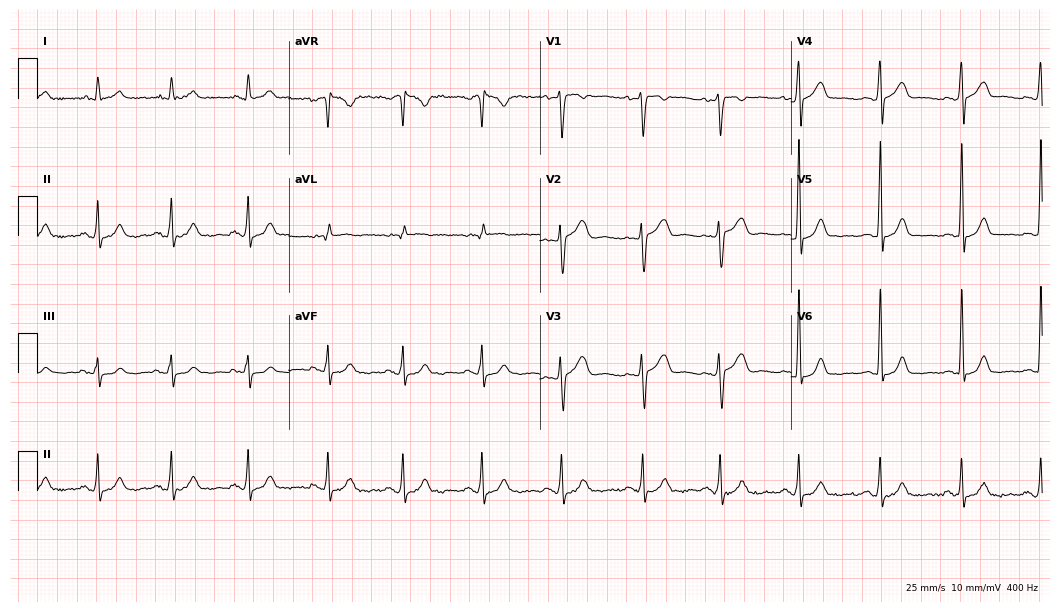
Resting 12-lead electrocardiogram (10.2-second recording at 400 Hz). Patient: a 42-year-old woman. Read as a normal ECG.